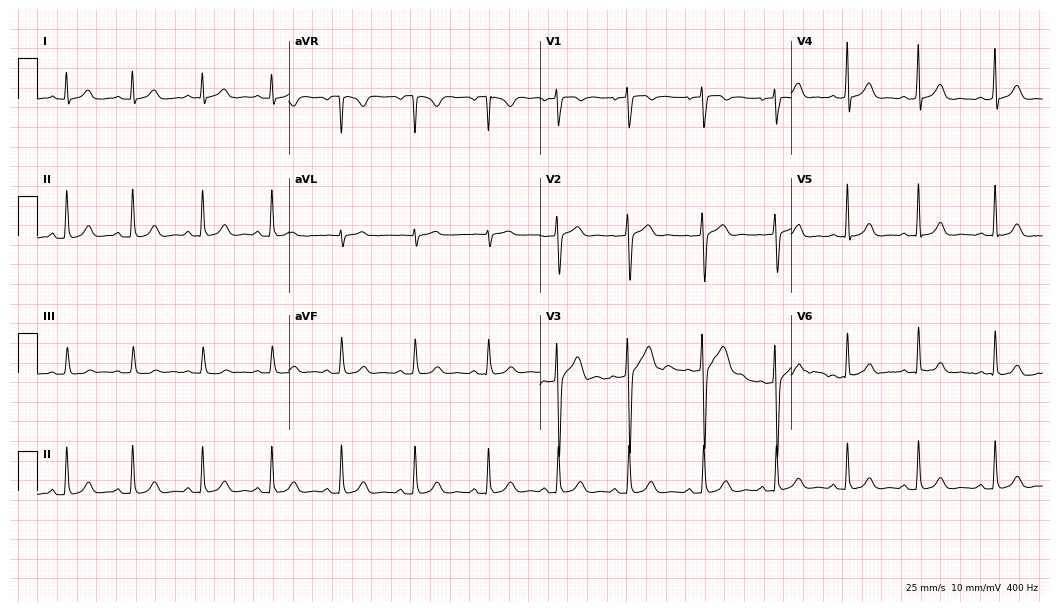
Standard 12-lead ECG recorded from a 33-year-old woman. Read as a normal ECG.